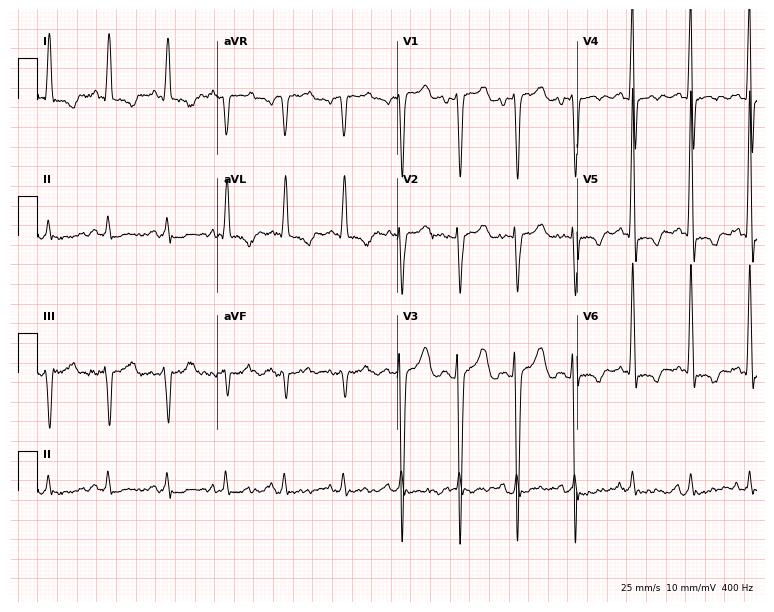
ECG — a man, 55 years old. Findings include sinus tachycardia (a sinus rate of 100 beats per minute or more).